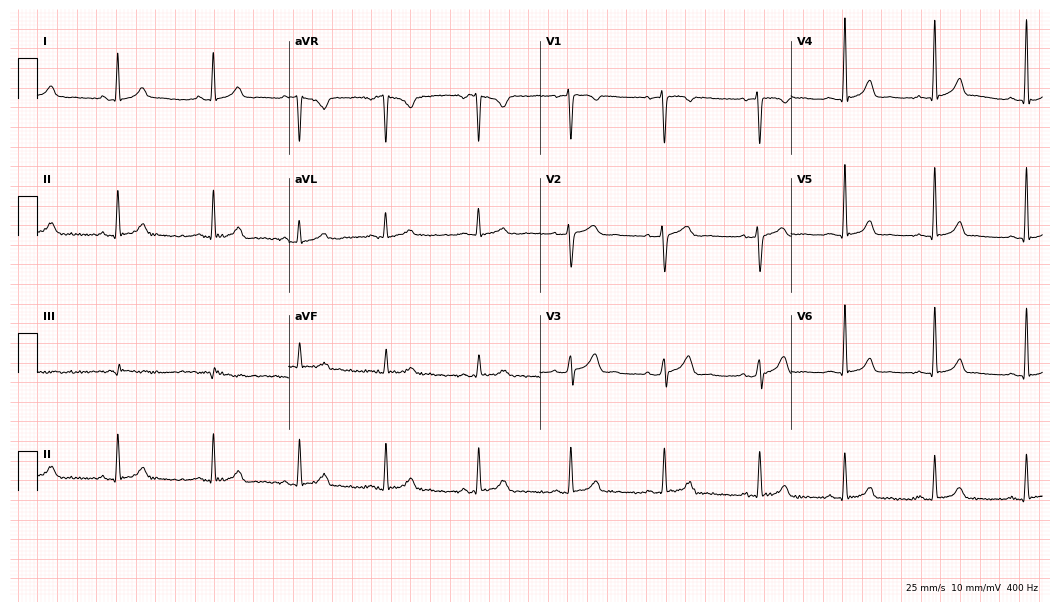
Resting 12-lead electrocardiogram. Patient: a 29-year-old woman. Read as a normal ECG.